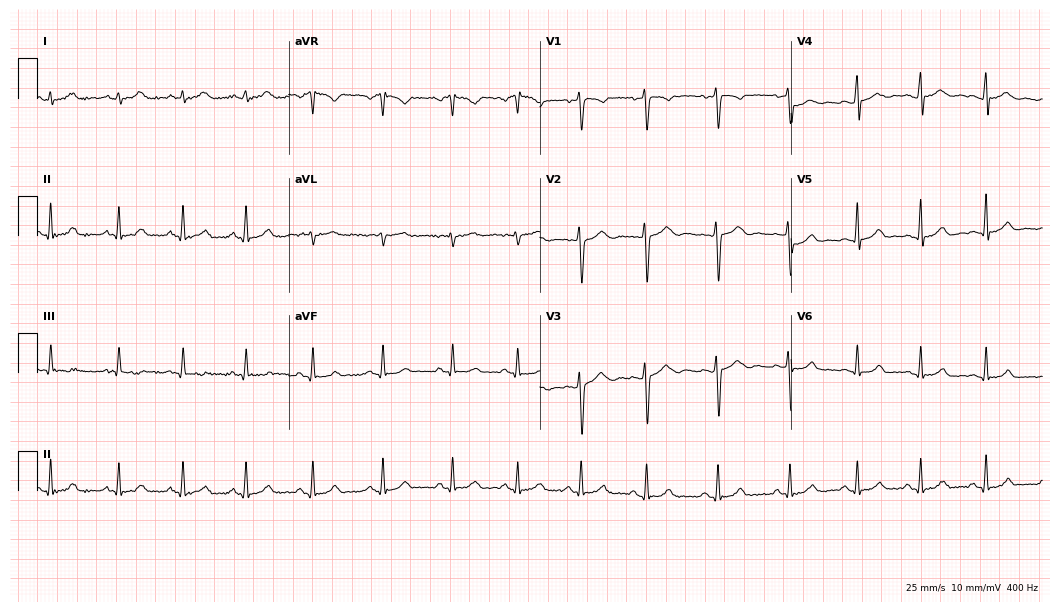
ECG — a woman, 20 years old. Labelled as a normal ECG.